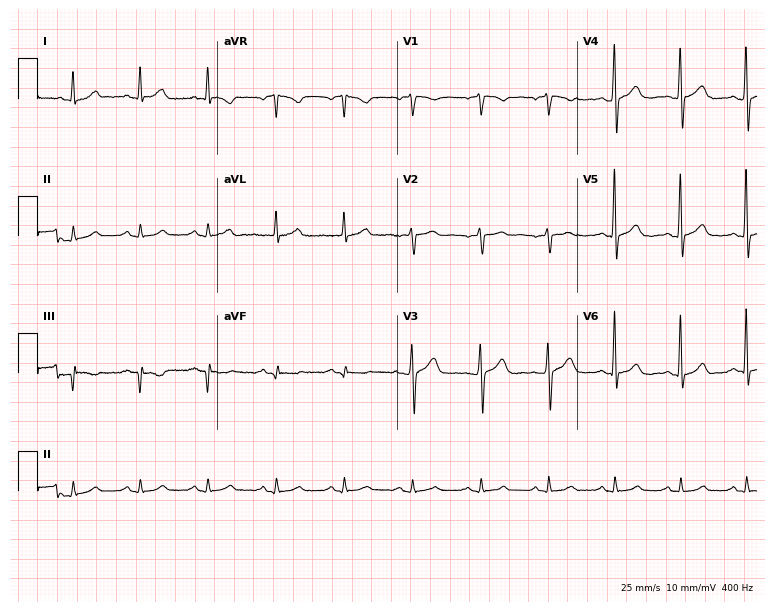
Resting 12-lead electrocardiogram. Patient: a female, 56 years old. Read as a normal ECG.